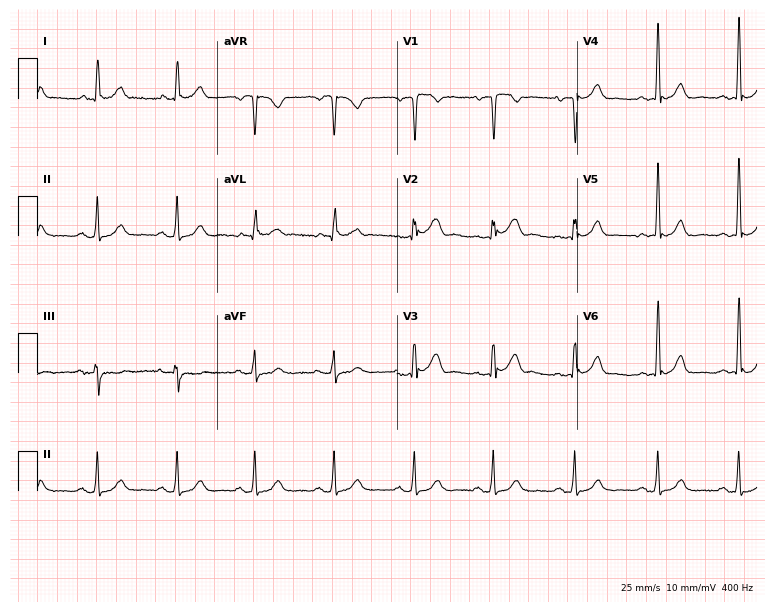
12-lead ECG from a 47-year-old man (7.3-second recording at 400 Hz). Recorded interpretation: within normal limits.